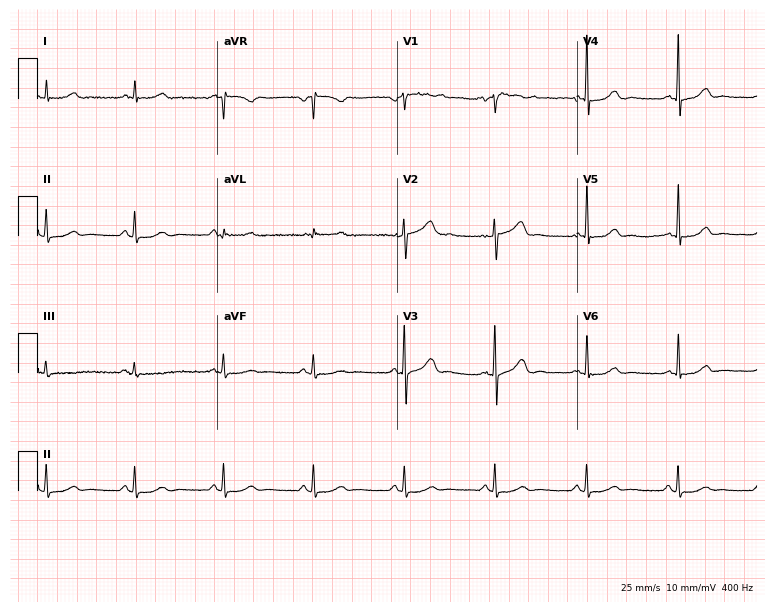
12-lead ECG from a male patient, 52 years old. Labelled as a normal ECG.